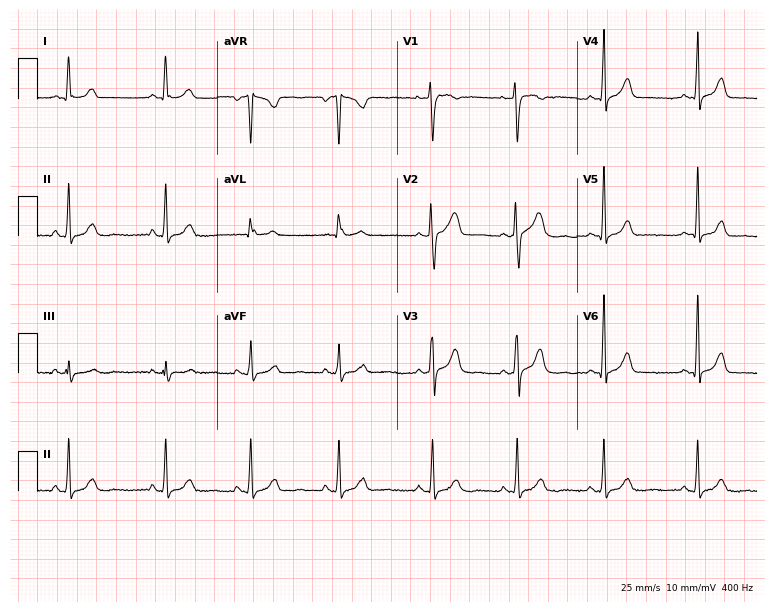
Resting 12-lead electrocardiogram (7.3-second recording at 400 Hz). Patient: a woman, 31 years old. Read as a normal ECG.